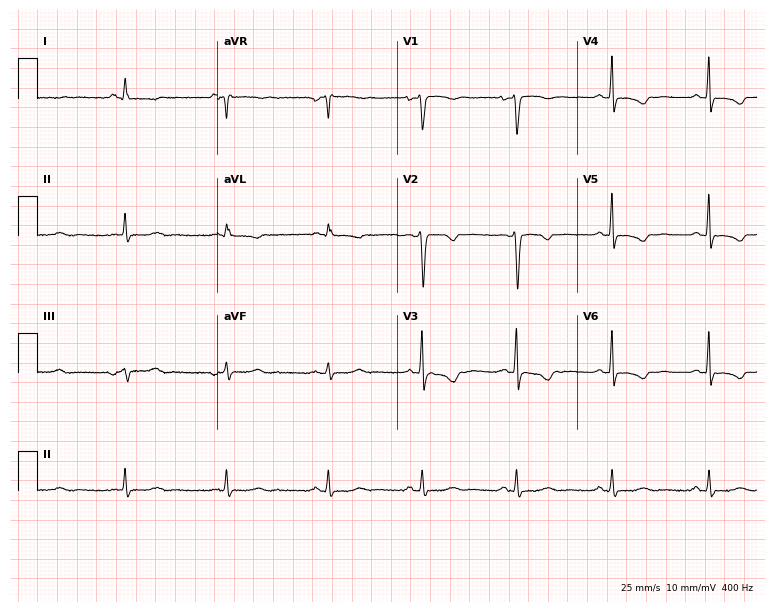
ECG (7.3-second recording at 400 Hz) — a man, 46 years old. Screened for six findings — first-degree AV block, right bundle branch block (RBBB), left bundle branch block (LBBB), sinus bradycardia, atrial fibrillation (AF), sinus tachycardia — none is recorded.